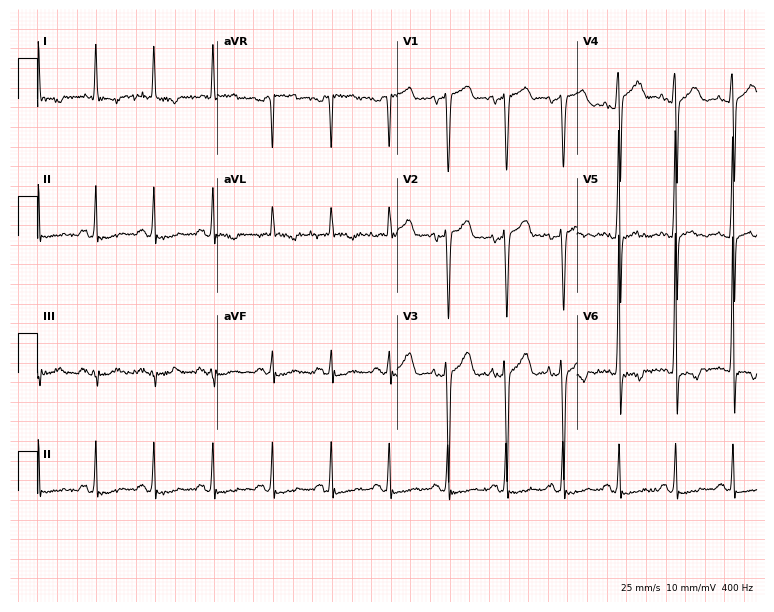
12-lead ECG (7.3-second recording at 400 Hz) from a 70-year-old male patient. Screened for six findings — first-degree AV block, right bundle branch block, left bundle branch block, sinus bradycardia, atrial fibrillation, sinus tachycardia — none is recorded. Findings outside these six are not listed.